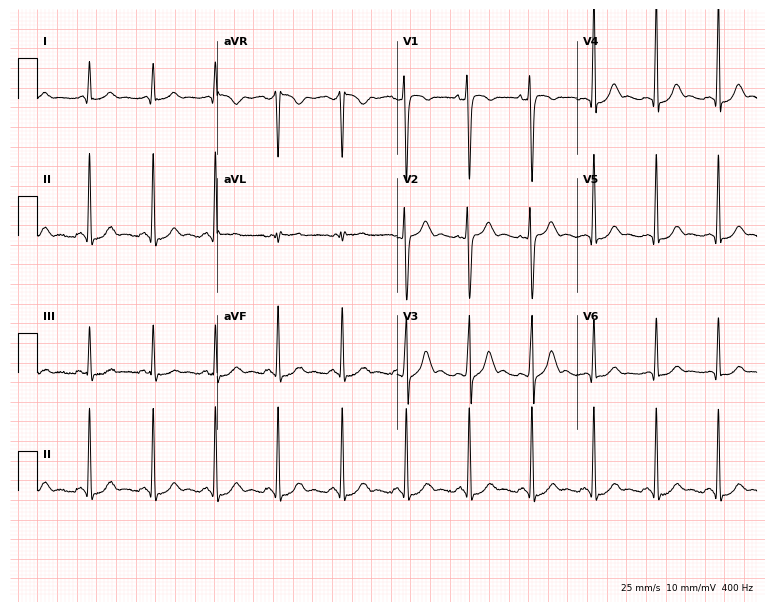
12-lead ECG from a male patient, 22 years old (7.3-second recording at 400 Hz). Recorded interpretation: within normal limits.